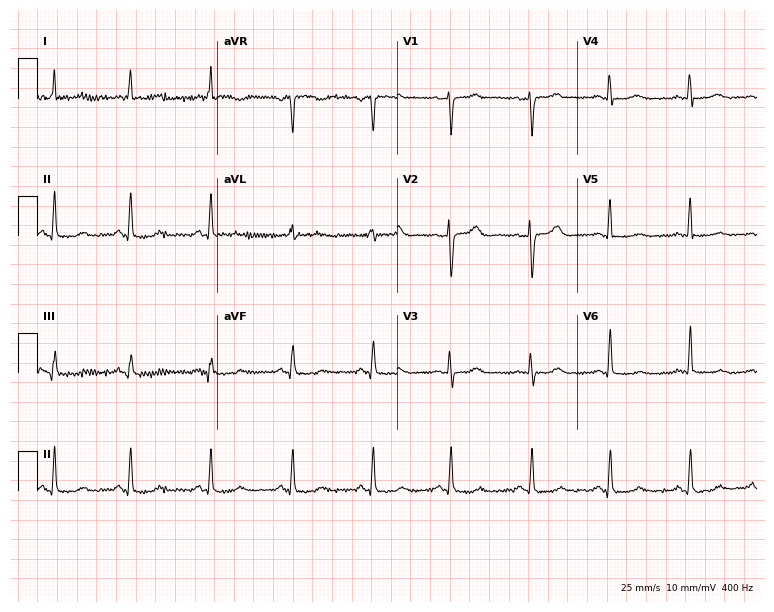
12-lead ECG from a female, 44 years old (7.3-second recording at 400 Hz). No first-degree AV block, right bundle branch block, left bundle branch block, sinus bradycardia, atrial fibrillation or sinus tachycardia recorded for this tracing. Other findings, if any, are not listed.